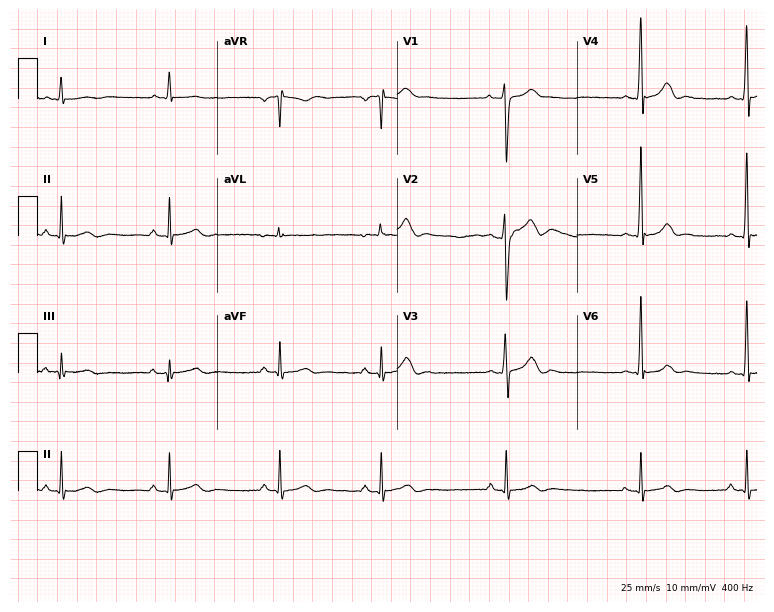
12-lead ECG (7.3-second recording at 400 Hz) from a male, 19 years old. Labelled as a normal ECG.